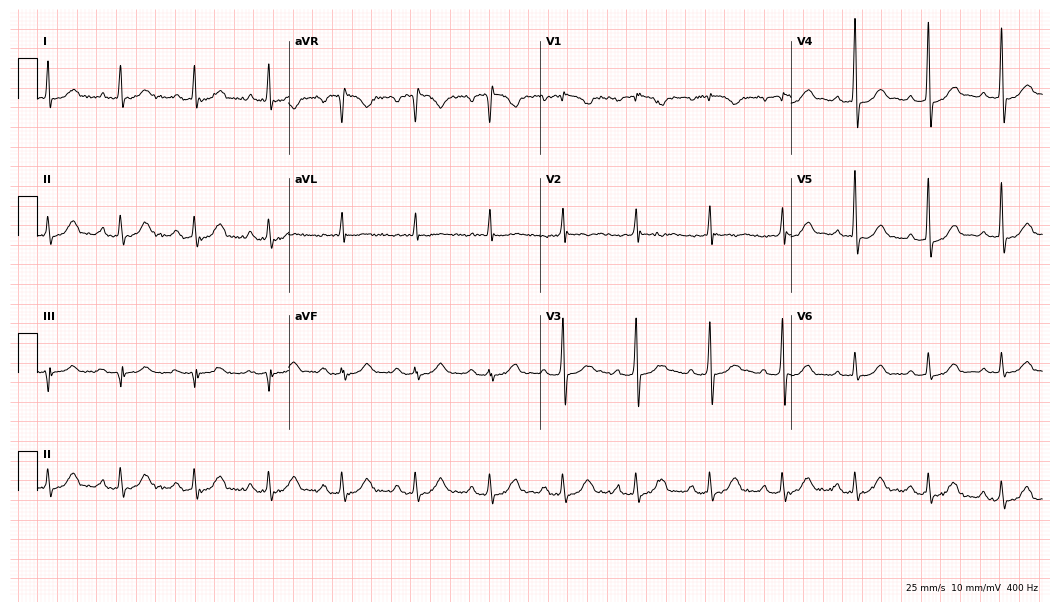
12-lead ECG from a male patient, 71 years old (10.2-second recording at 400 Hz). Recorded interpretation: within normal limits.